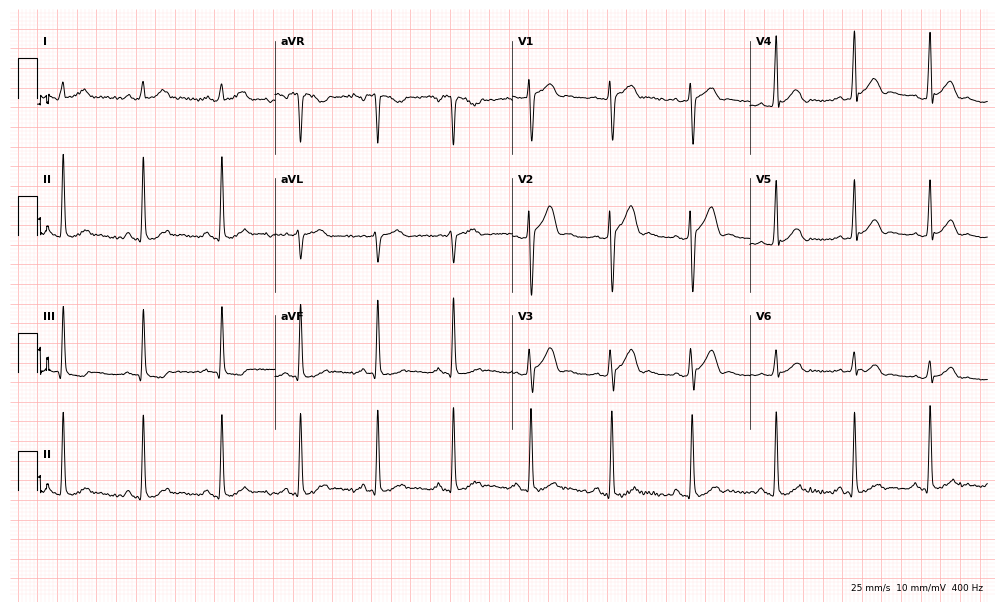
Electrocardiogram, a male patient, 24 years old. Overall reading on record: normal ECG.